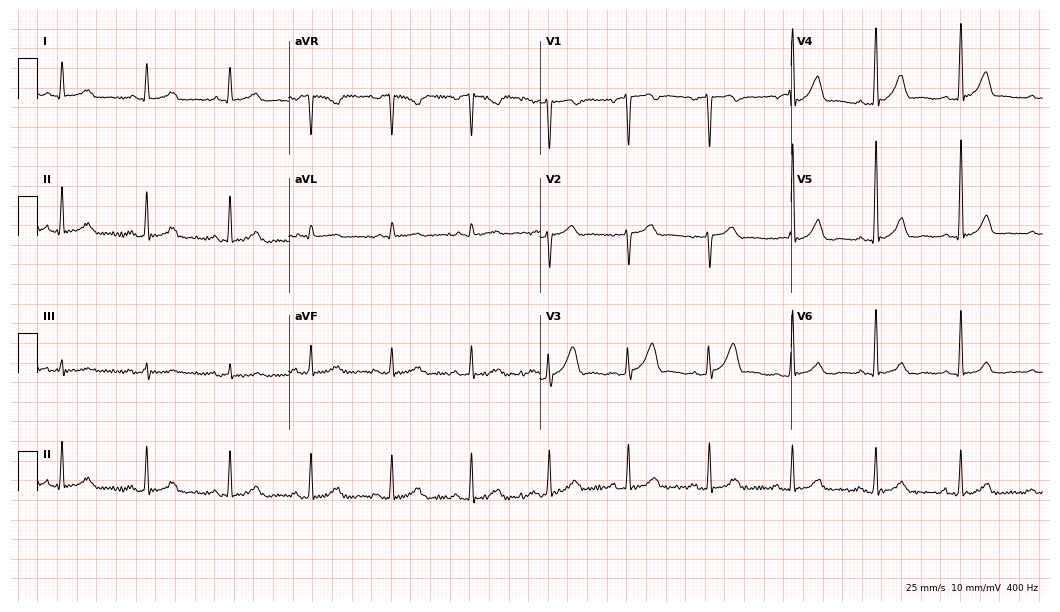
Electrocardiogram (10.2-second recording at 400 Hz), a 53-year-old man. Overall reading on record: normal ECG.